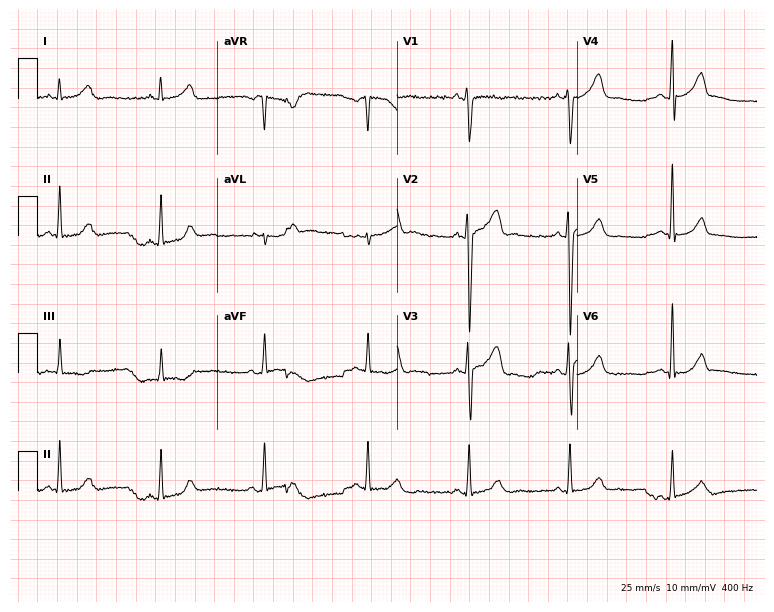
Electrocardiogram, a 31-year-old male. Overall reading on record: normal ECG.